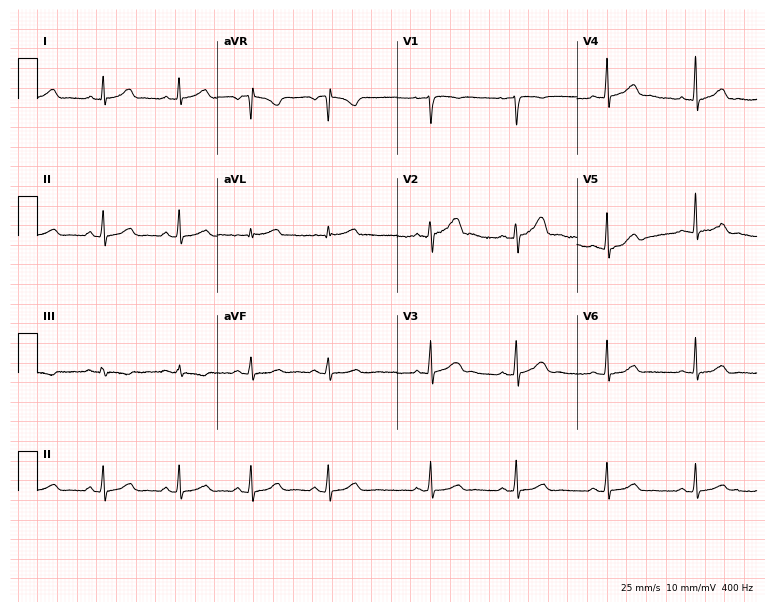
Electrocardiogram (7.3-second recording at 400 Hz), a 31-year-old woman. Overall reading on record: normal ECG.